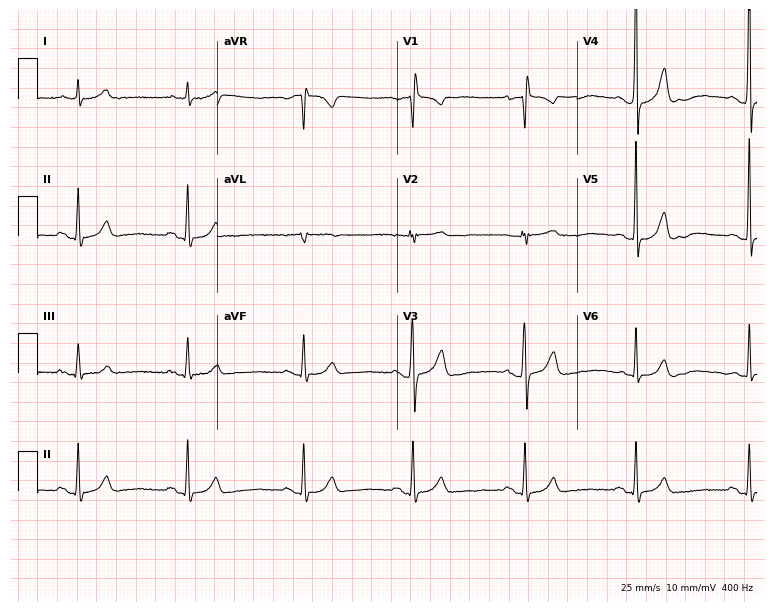
Electrocardiogram (7.3-second recording at 400 Hz), a 75-year-old woman. Of the six screened findings (first-degree AV block, right bundle branch block, left bundle branch block, sinus bradycardia, atrial fibrillation, sinus tachycardia), none is recorded.